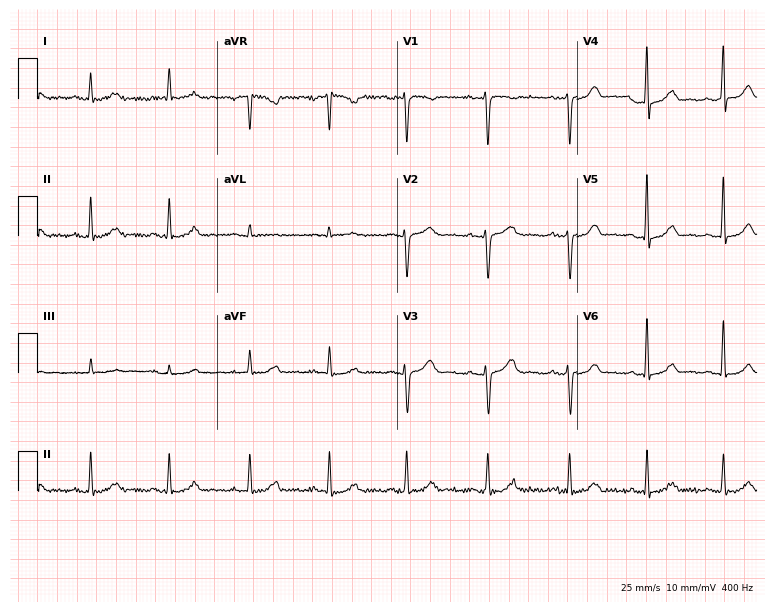
Standard 12-lead ECG recorded from a 50-year-old woman (7.3-second recording at 400 Hz). Read as a normal ECG.